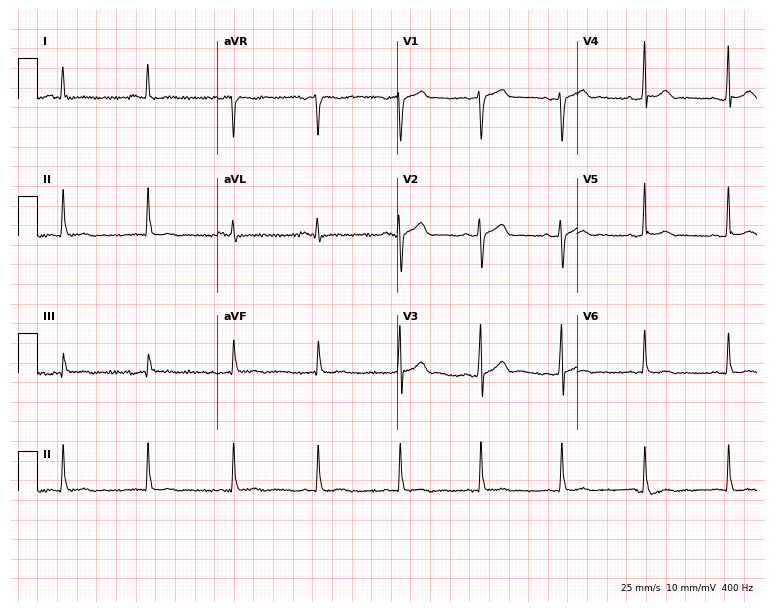
12-lead ECG from a 47-year-old man. Recorded interpretation: within normal limits.